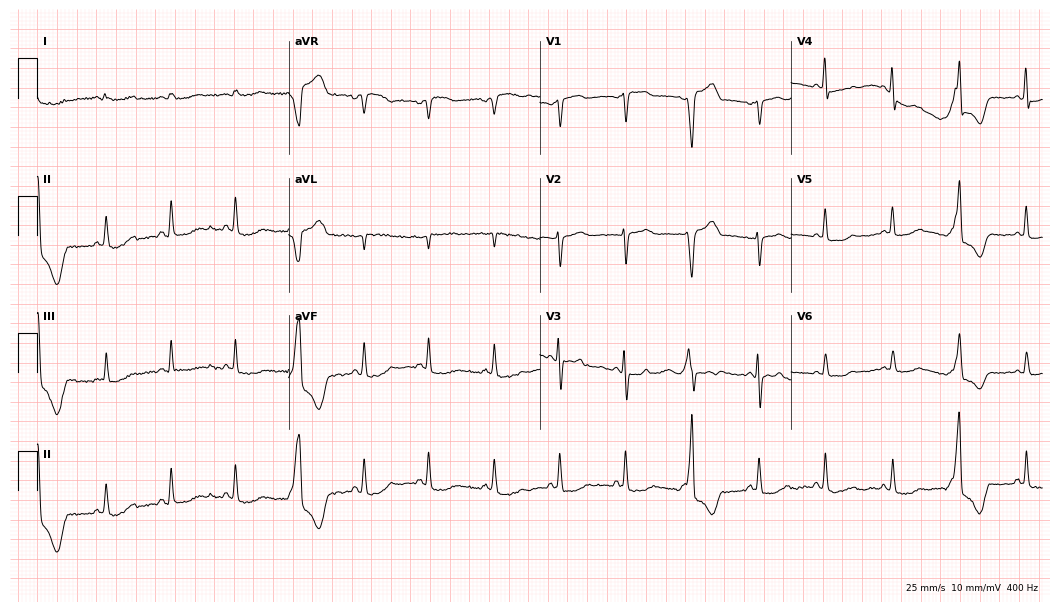
12-lead ECG from a woman, 64 years old. Screened for six findings — first-degree AV block, right bundle branch block, left bundle branch block, sinus bradycardia, atrial fibrillation, sinus tachycardia — none is recorded.